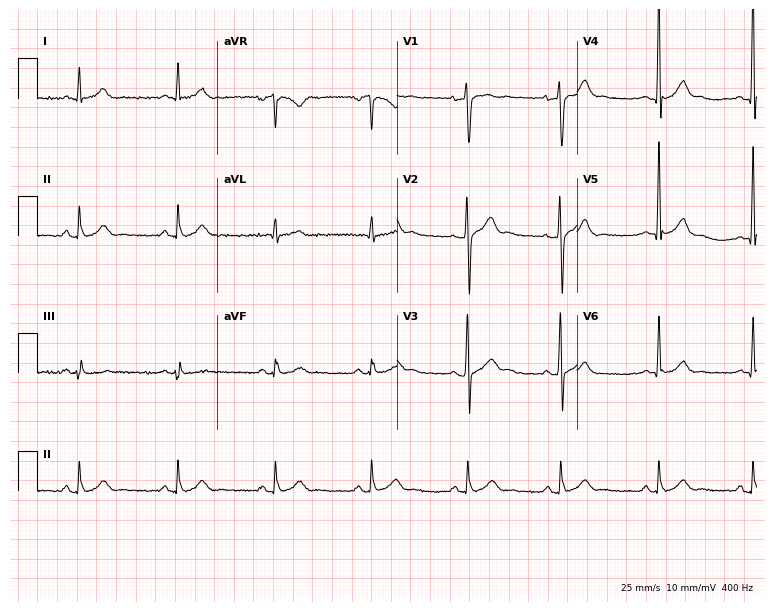
12-lead ECG from a 27-year-old man (7.3-second recording at 400 Hz). Recorded interpretation: within normal limits.